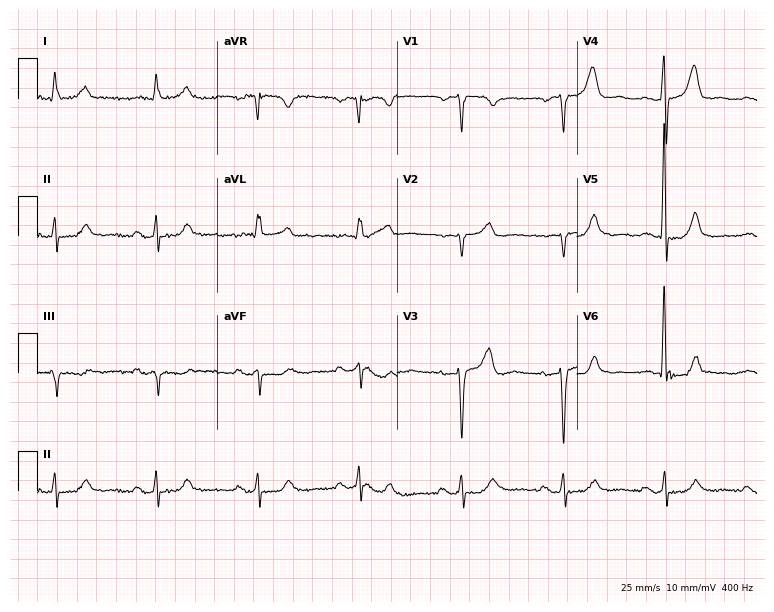
Resting 12-lead electrocardiogram (7.3-second recording at 400 Hz). Patient: a 75-year-old female. Read as a normal ECG.